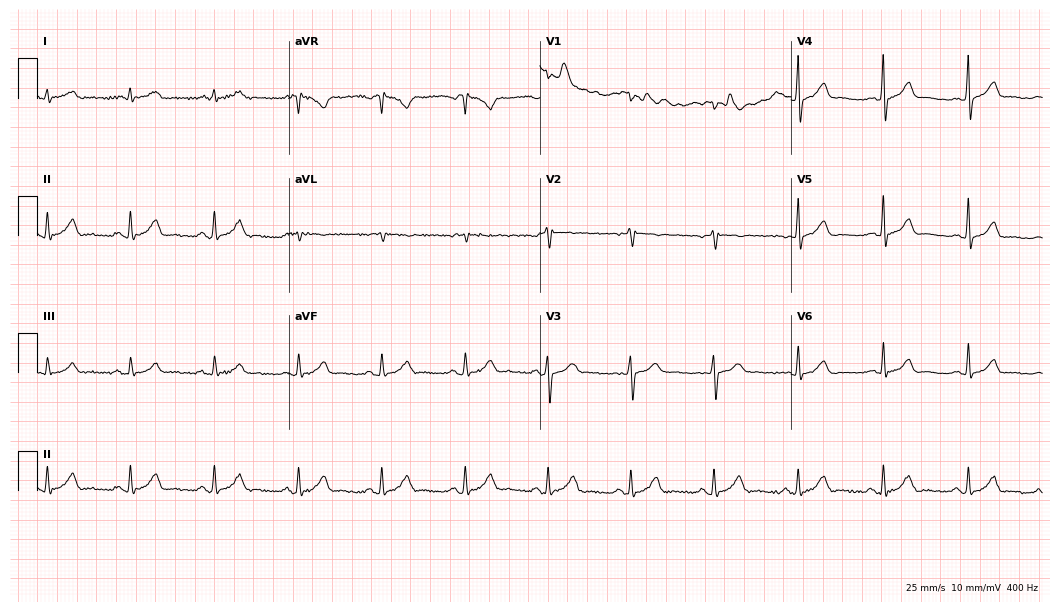
12-lead ECG (10.2-second recording at 400 Hz) from a 27-year-old male. Screened for six findings — first-degree AV block, right bundle branch block (RBBB), left bundle branch block (LBBB), sinus bradycardia, atrial fibrillation (AF), sinus tachycardia — none is recorded. Other findings, if any, are not listed.